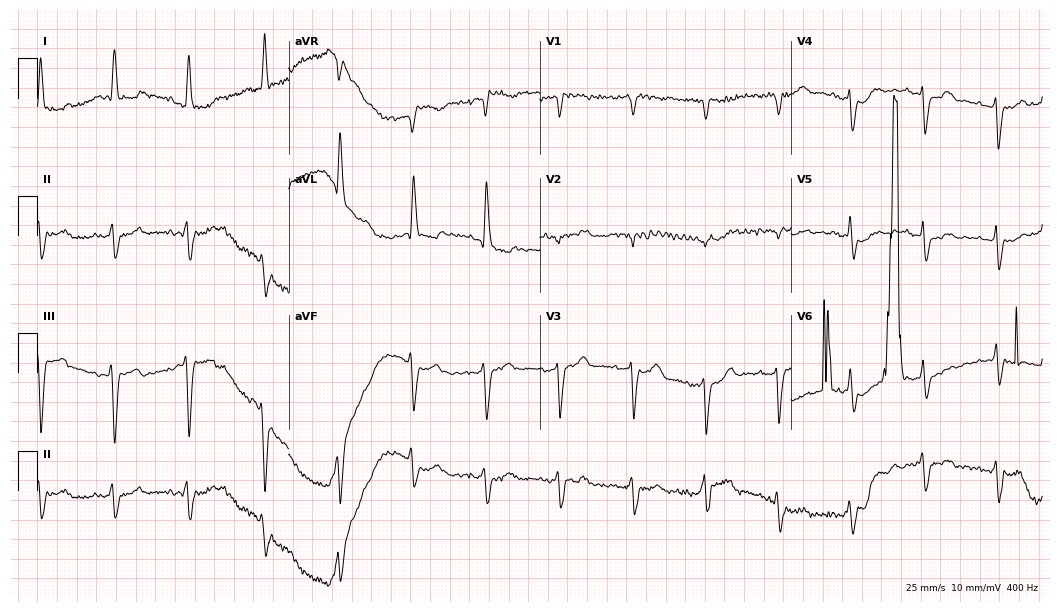
Resting 12-lead electrocardiogram. Patient: an 85-year-old man. None of these six findings is recorded: first-degree AV block, right bundle branch block (RBBB), left bundle branch block (LBBB), sinus bradycardia, atrial fibrillation (AF), sinus tachycardia. Only these six findings were labelled.